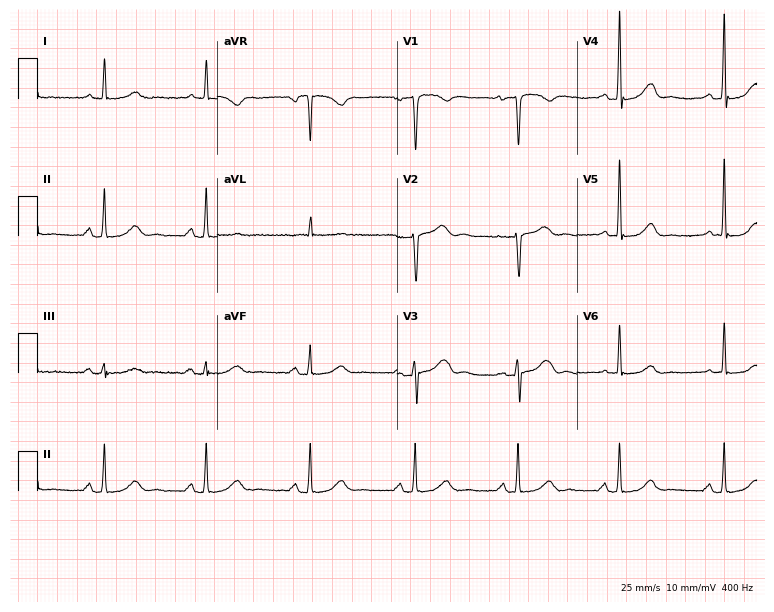
12-lead ECG from a woman, 66 years old. Recorded interpretation: within normal limits.